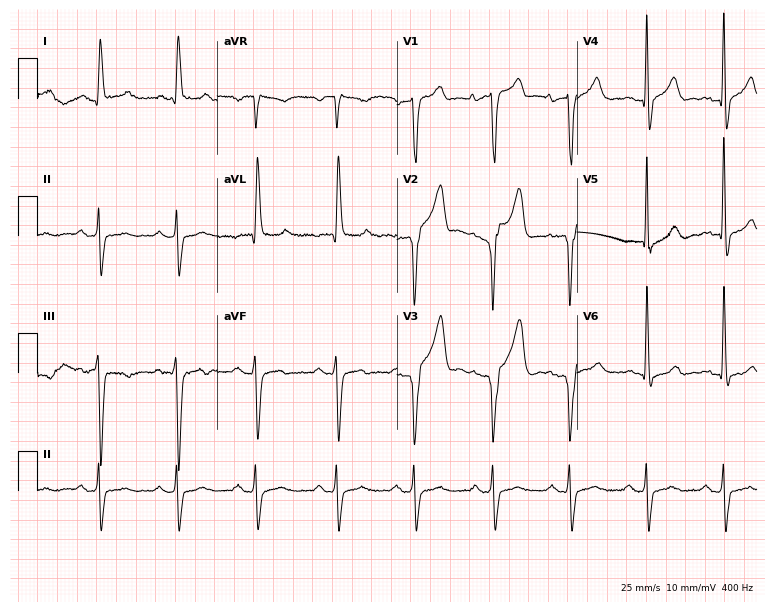
Electrocardiogram (7.3-second recording at 400 Hz), a male patient, 63 years old. Interpretation includes first-degree AV block.